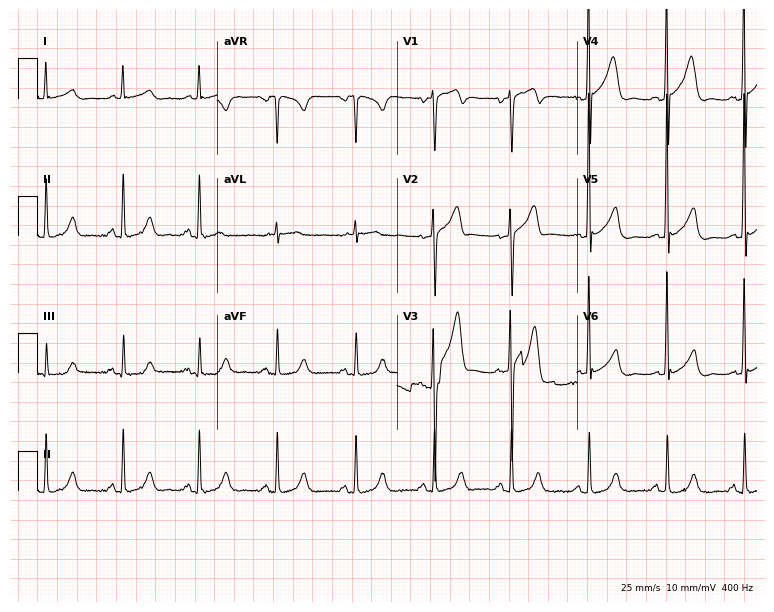
Resting 12-lead electrocardiogram. Patient: a man, 69 years old. None of these six findings is recorded: first-degree AV block, right bundle branch block, left bundle branch block, sinus bradycardia, atrial fibrillation, sinus tachycardia. Other findings, if any, are not listed.